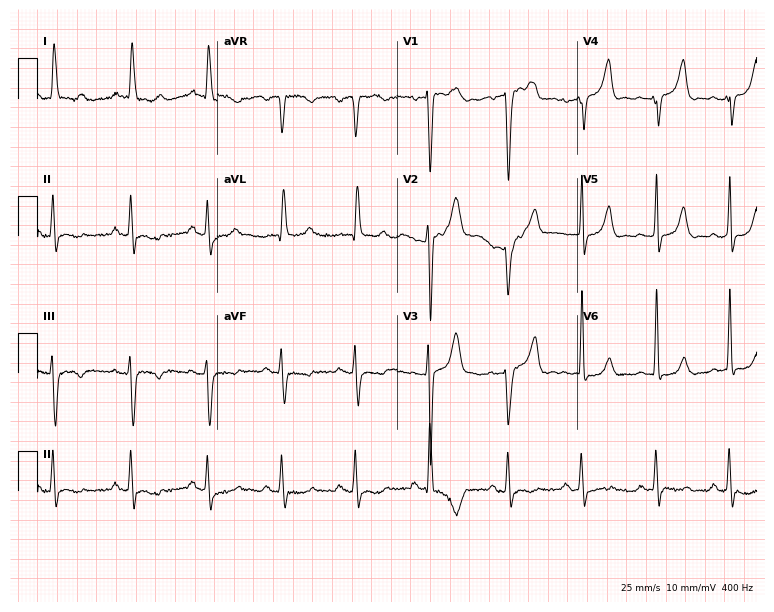
Resting 12-lead electrocardiogram (7.3-second recording at 400 Hz). Patient: a 77-year-old man. Read as a normal ECG.